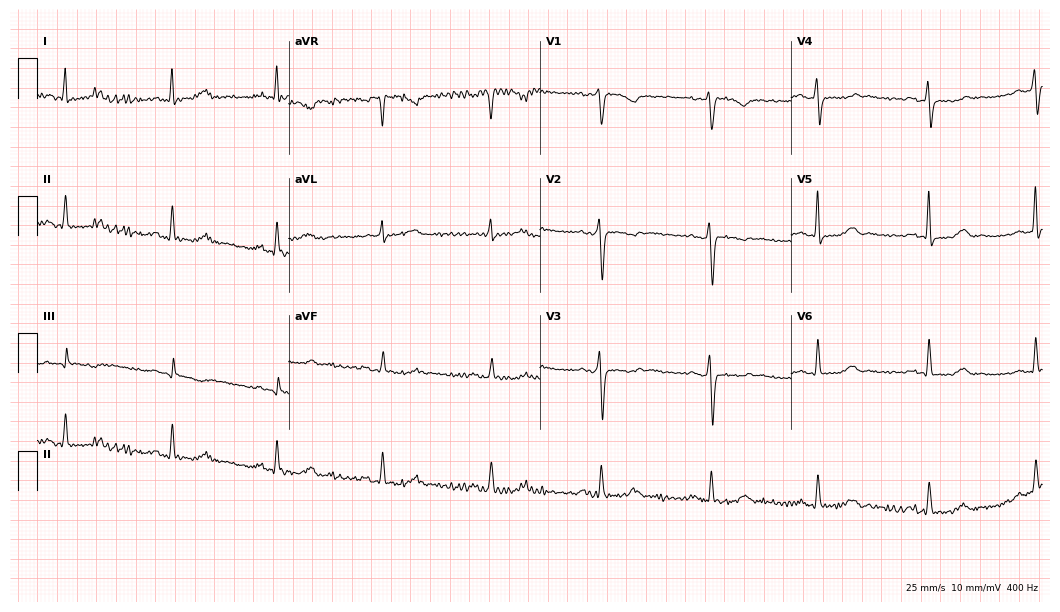
Standard 12-lead ECG recorded from a female, 49 years old (10.2-second recording at 400 Hz). None of these six findings is recorded: first-degree AV block, right bundle branch block, left bundle branch block, sinus bradycardia, atrial fibrillation, sinus tachycardia.